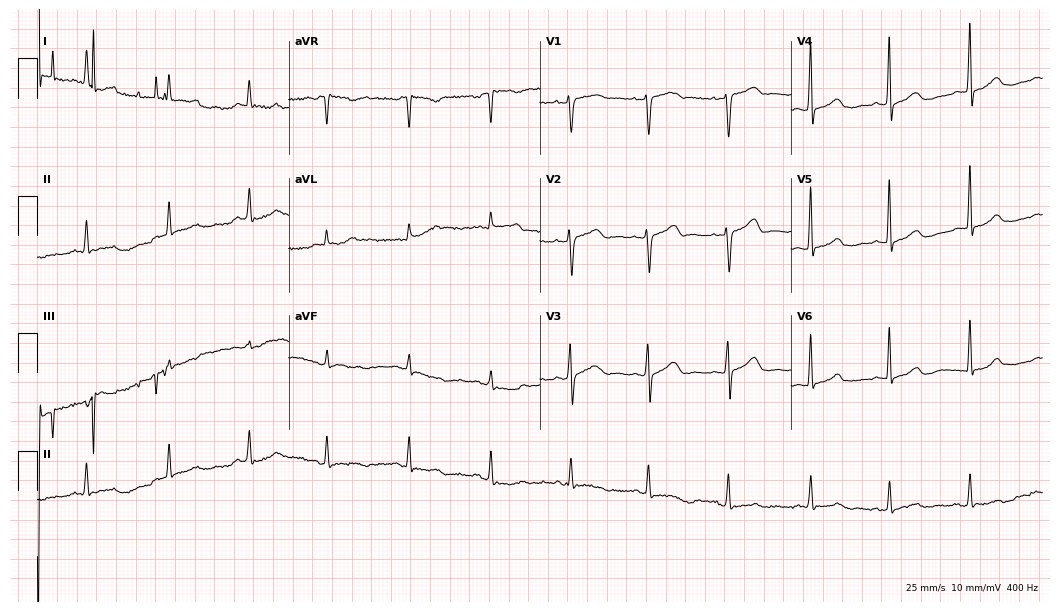
ECG — a female patient, 41 years old. Screened for six findings — first-degree AV block, right bundle branch block, left bundle branch block, sinus bradycardia, atrial fibrillation, sinus tachycardia — none is recorded. Findings outside these six are not listed.